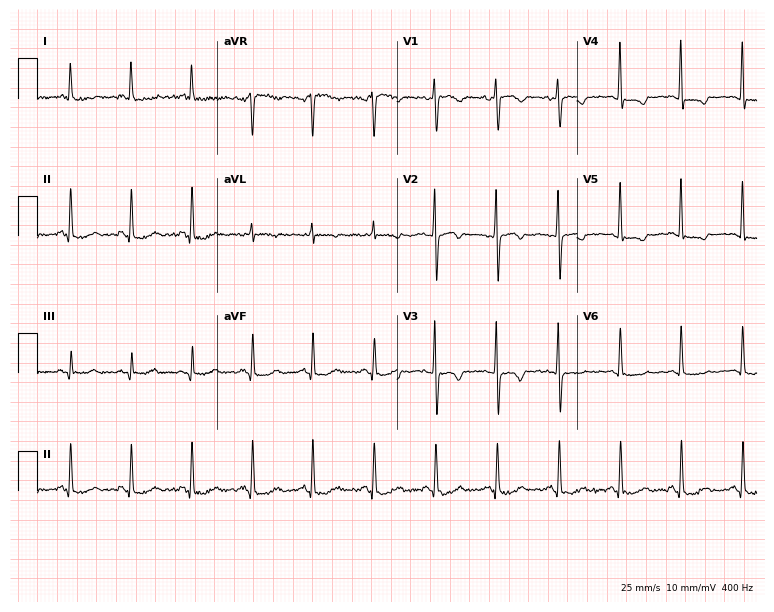
Electrocardiogram (7.3-second recording at 400 Hz), a 63-year-old woman. Of the six screened findings (first-degree AV block, right bundle branch block, left bundle branch block, sinus bradycardia, atrial fibrillation, sinus tachycardia), none is recorded.